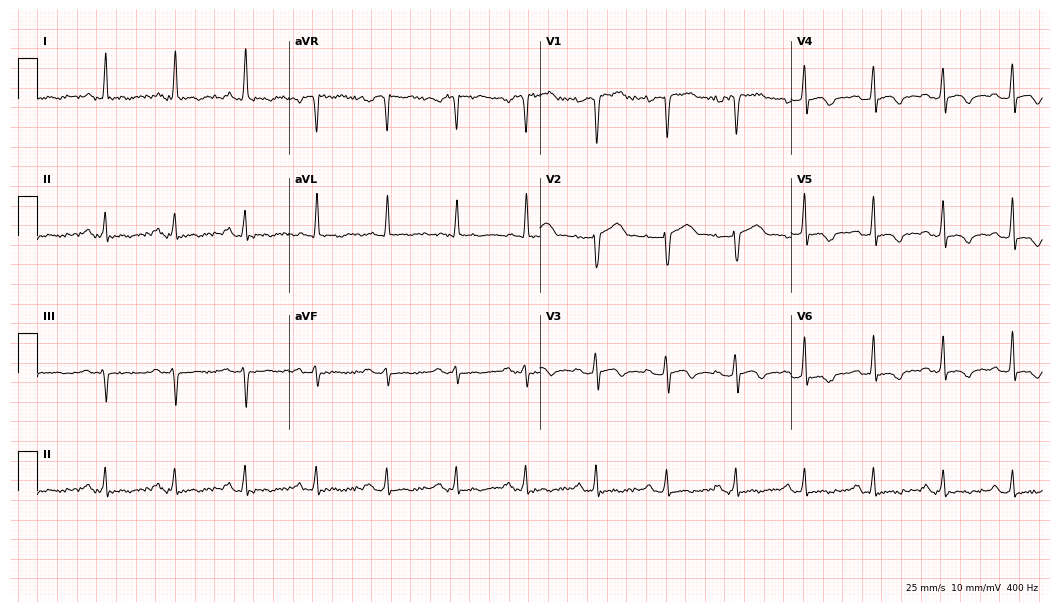
12-lead ECG from a 52-year-old male (10.2-second recording at 400 Hz). No first-degree AV block, right bundle branch block, left bundle branch block, sinus bradycardia, atrial fibrillation or sinus tachycardia recorded for this tracing.